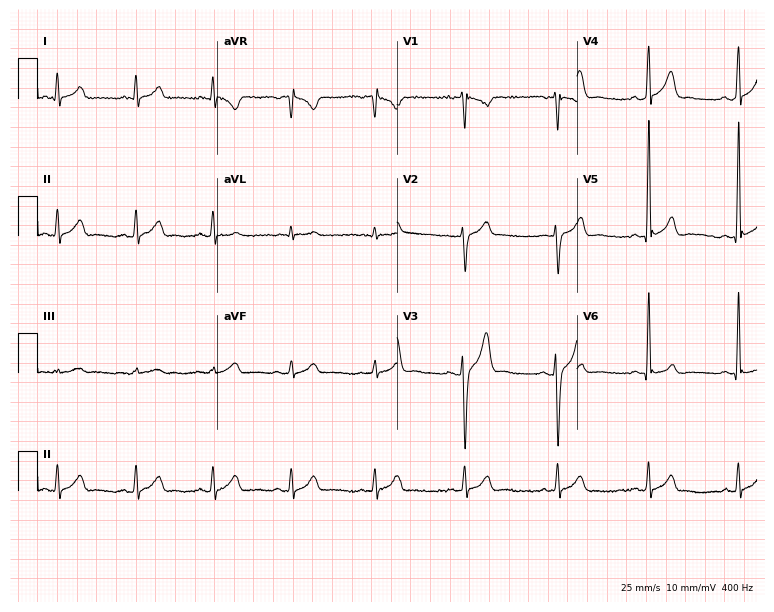
Resting 12-lead electrocardiogram (7.3-second recording at 400 Hz). Patient: a man, 28 years old. Read as a normal ECG.